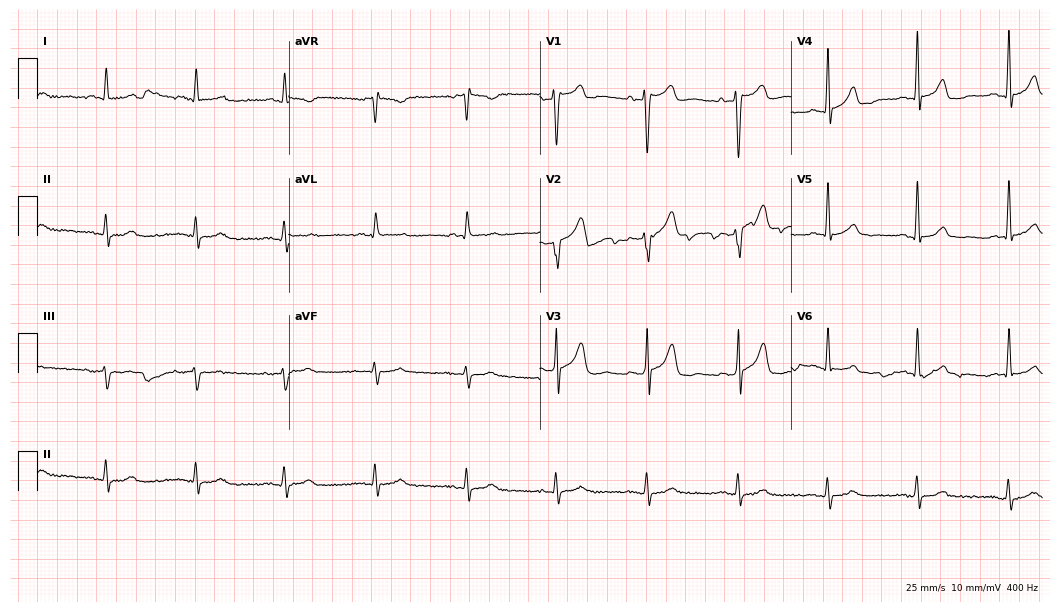
Standard 12-lead ECG recorded from a male patient, 51 years old (10.2-second recording at 400 Hz). None of these six findings is recorded: first-degree AV block, right bundle branch block, left bundle branch block, sinus bradycardia, atrial fibrillation, sinus tachycardia. Other findings, if any, are not listed.